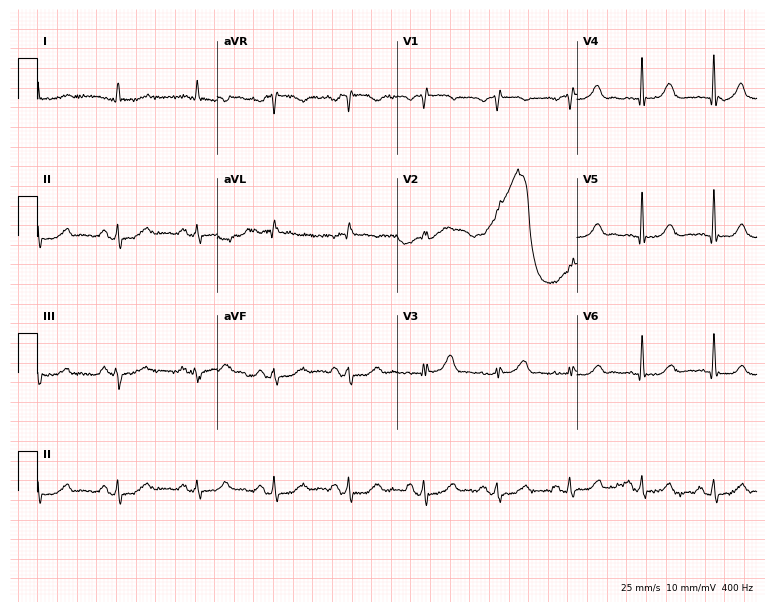
ECG (7.3-second recording at 400 Hz) — a male patient, 69 years old. Screened for six findings — first-degree AV block, right bundle branch block, left bundle branch block, sinus bradycardia, atrial fibrillation, sinus tachycardia — none is recorded.